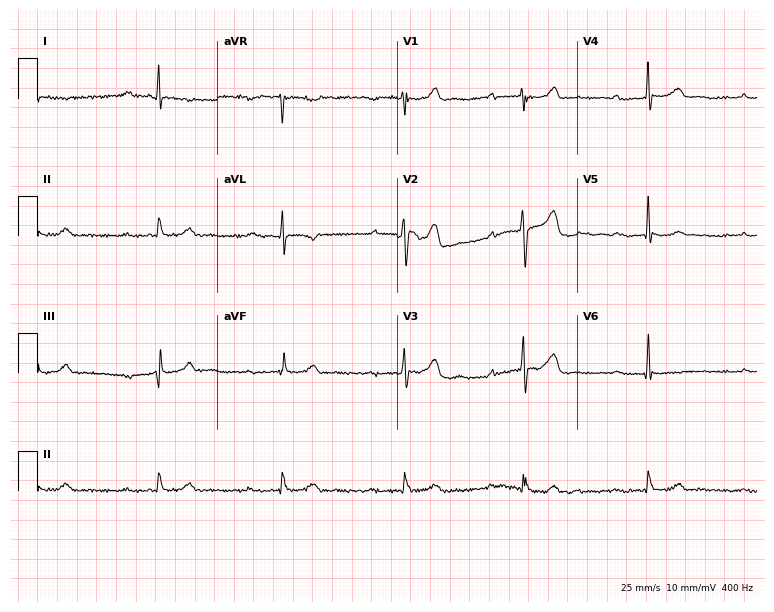
ECG — a 61-year-old man. Findings include first-degree AV block, sinus bradycardia (a sinus rate of 50 beats per minute or less).